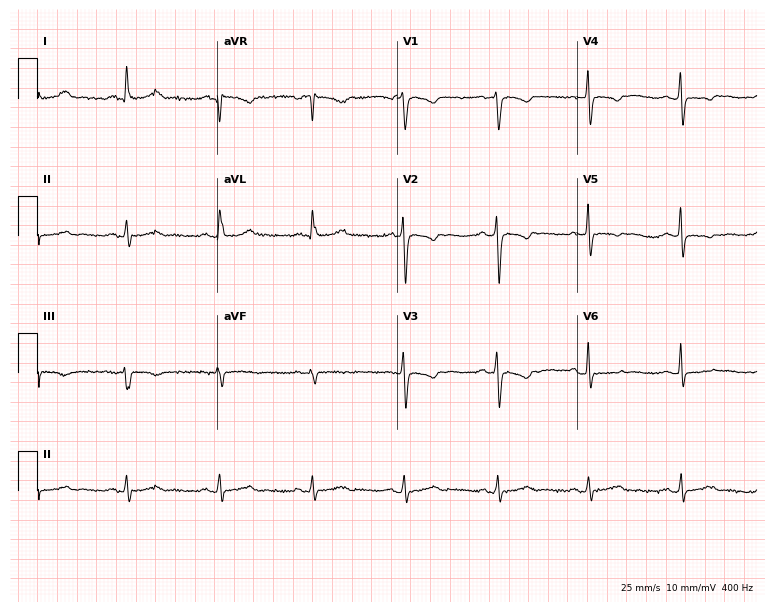
12-lead ECG from a 49-year-old male patient. No first-degree AV block, right bundle branch block (RBBB), left bundle branch block (LBBB), sinus bradycardia, atrial fibrillation (AF) or sinus tachycardia recorded for this tracing. Findings outside these six are not listed.